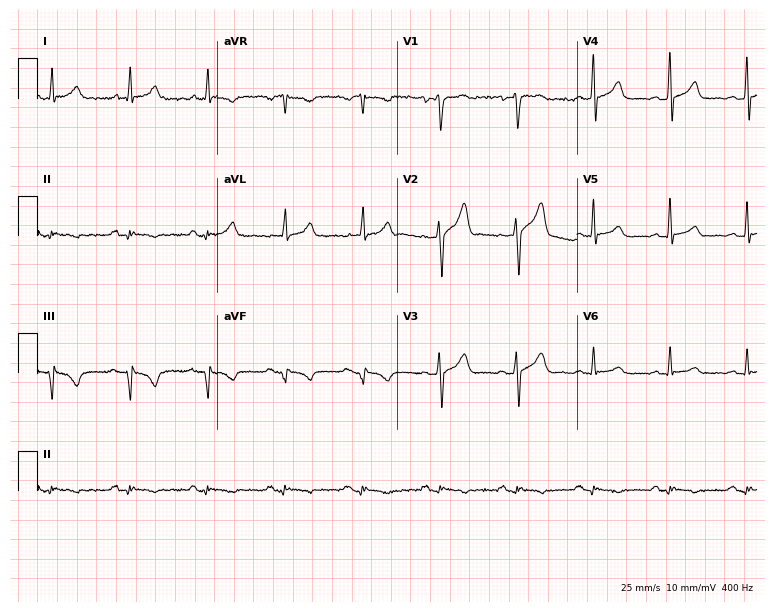
ECG — a male, 48 years old. Labelled as a normal ECG.